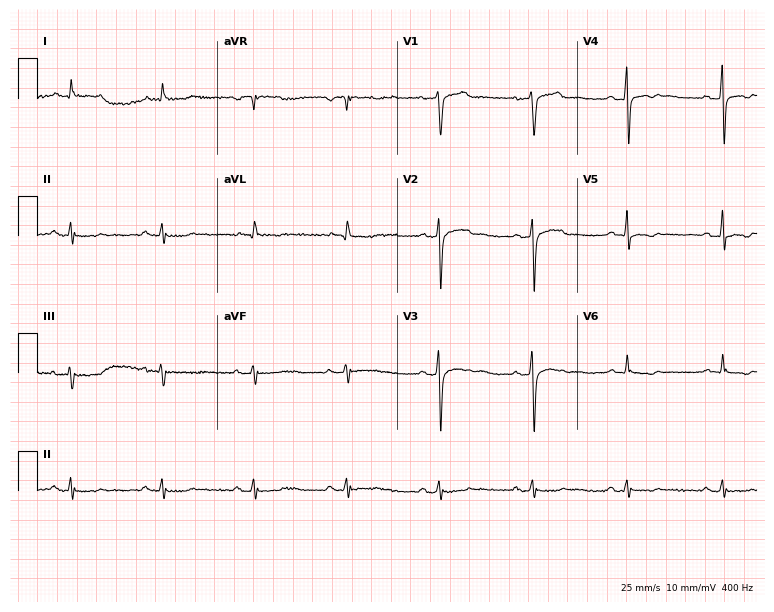
12-lead ECG from a male patient, 84 years old (7.3-second recording at 400 Hz). No first-degree AV block, right bundle branch block (RBBB), left bundle branch block (LBBB), sinus bradycardia, atrial fibrillation (AF) or sinus tachycardia recorded for this tracing.